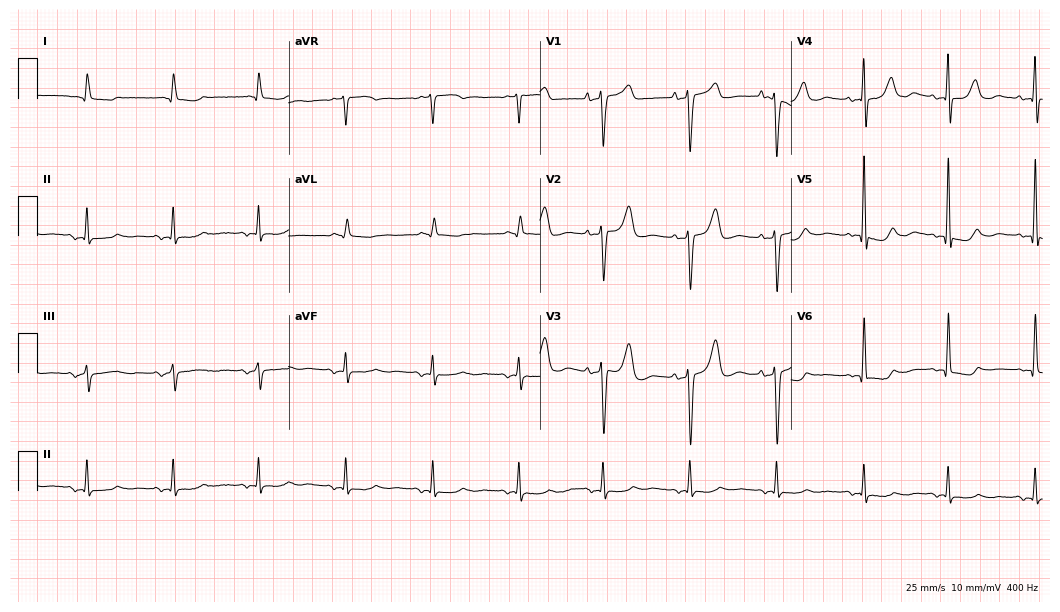
Resting 12-lead electrocardiogram. Patient: a female, 78 years old. None of these six findings is recorded: first-degree AV block, right bundle branch block, left bundle branch block, sinus bradycardia, atrial fibrillation, sinus tachycardia.